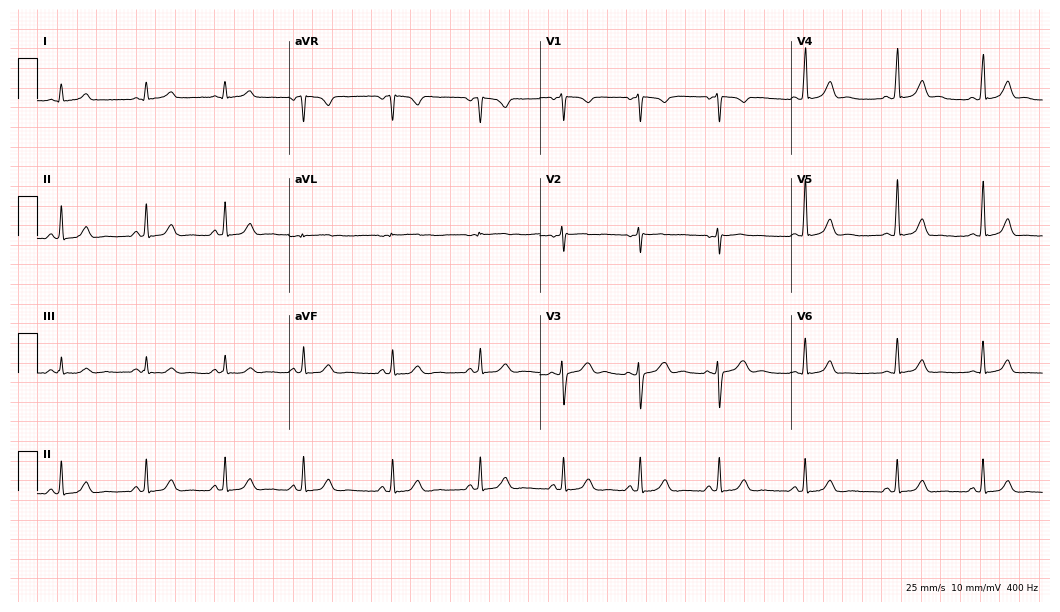
12-lead ECG from a female, 21 years old. Recorded interpretation: within normal limits.